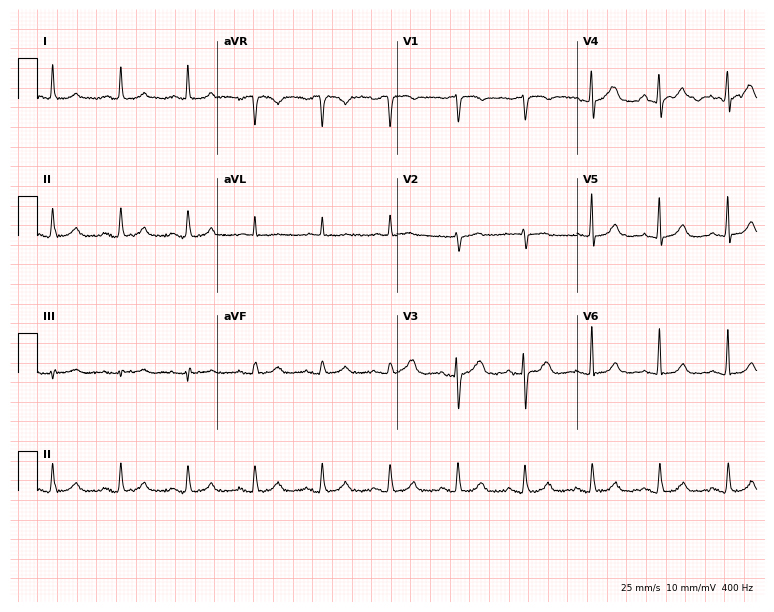
Electrocardiogram, a woman, 72 years old. Overall reading on record: normal ECG.